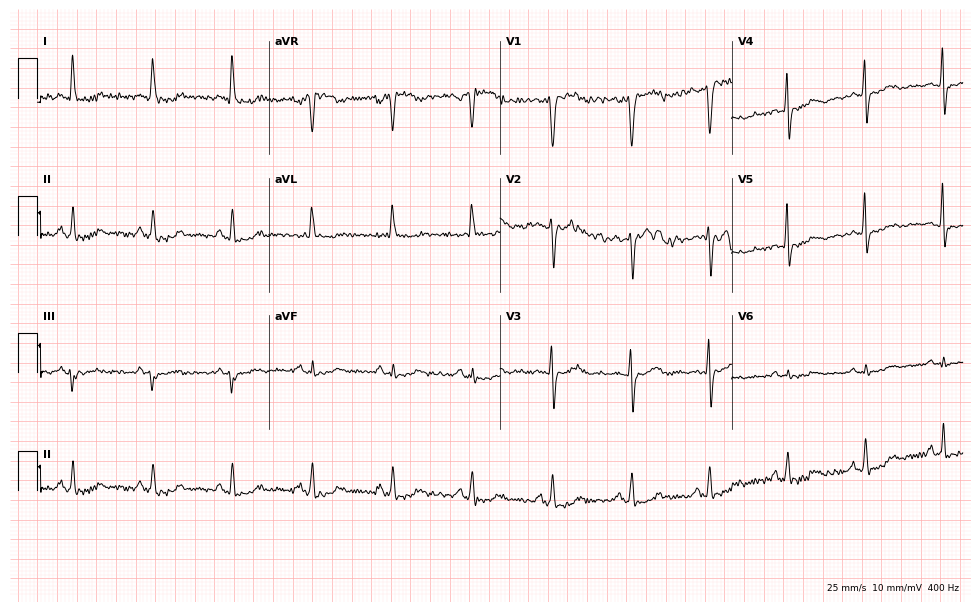
Standard 12-lead ECG recorded from a 57-year-old female patient. None of these six findings is recorded: first-degree AV block, right bundle branch block, left bundle branch block, sinus bradycardia, atrial fibrillation, sinus tachycardia.